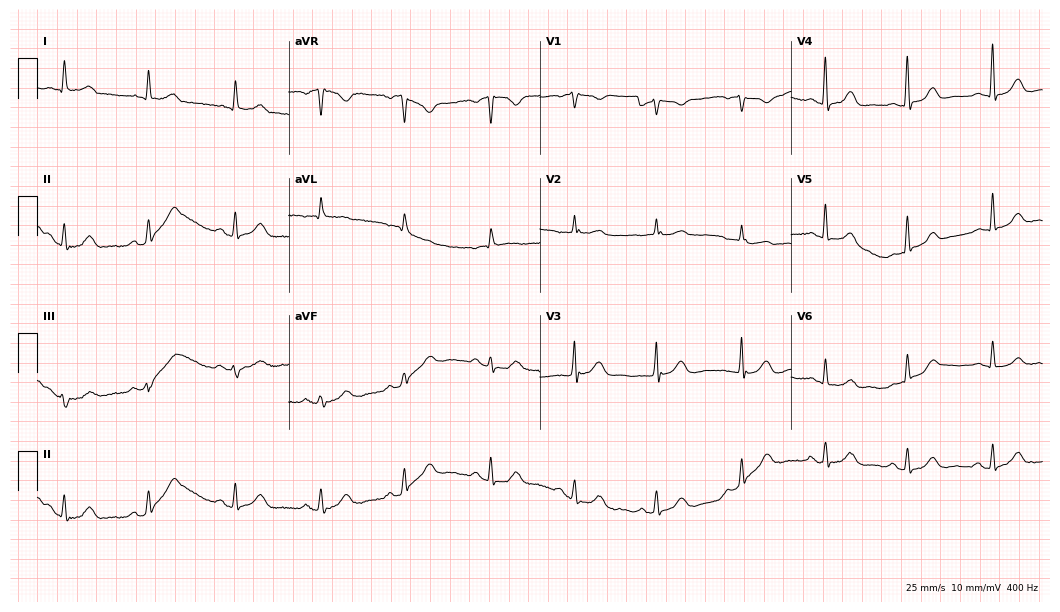
Electrocardiogram, an 82-year-old female patient. Overall reading on record: normal ECG.